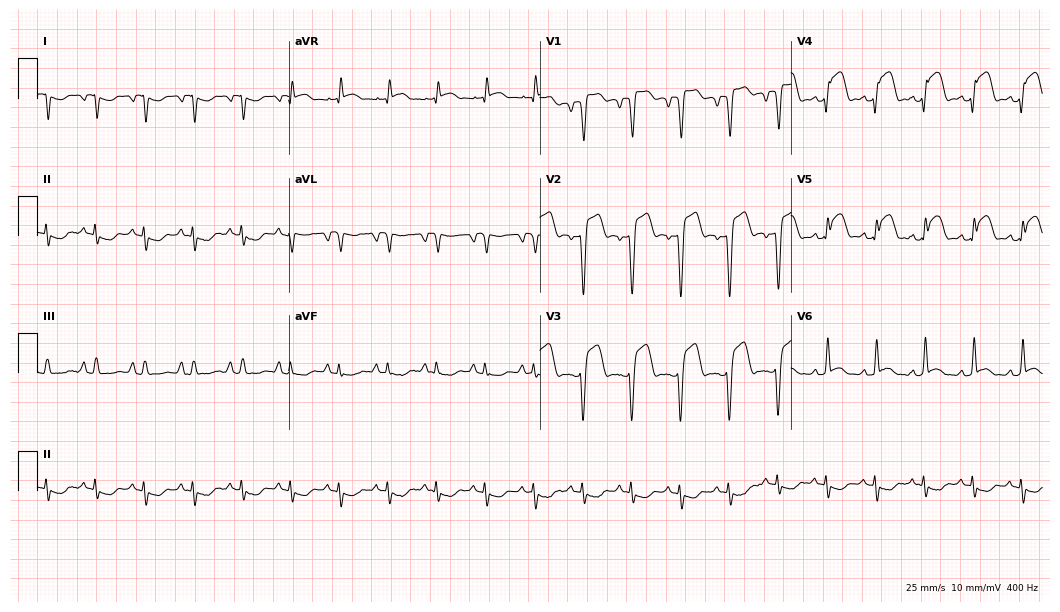
Electrocardiogram, a male patient, 79 years old. Interpretation includes sinus tachycardia (a sinus rate of 100 beats per minute or more).